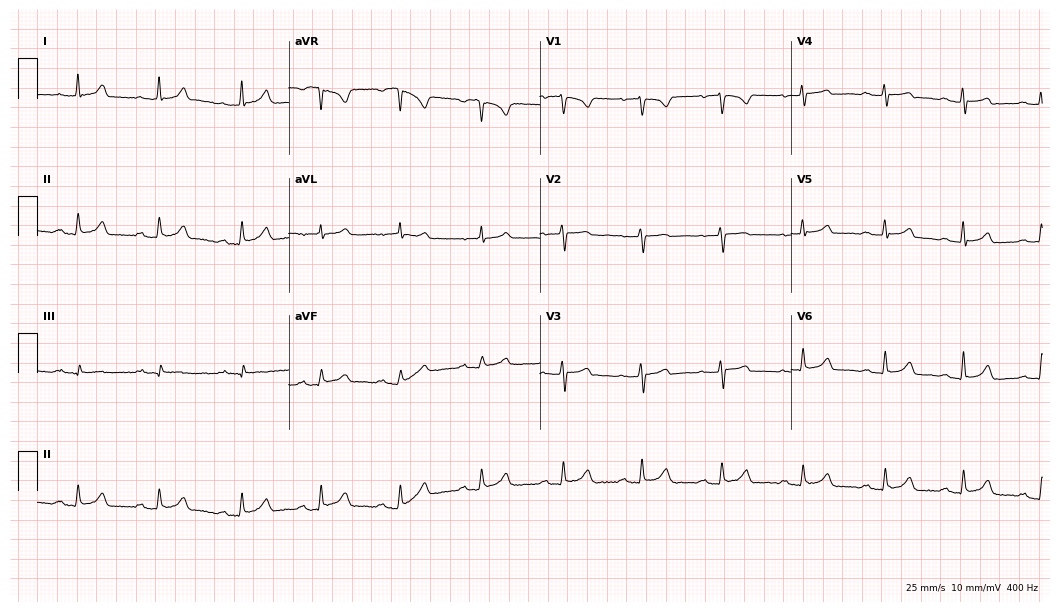
12-lead ECG from a female patient, 63 years old (10.2-second recording at 400 Hz). Recorded interpretation: within normal limits.